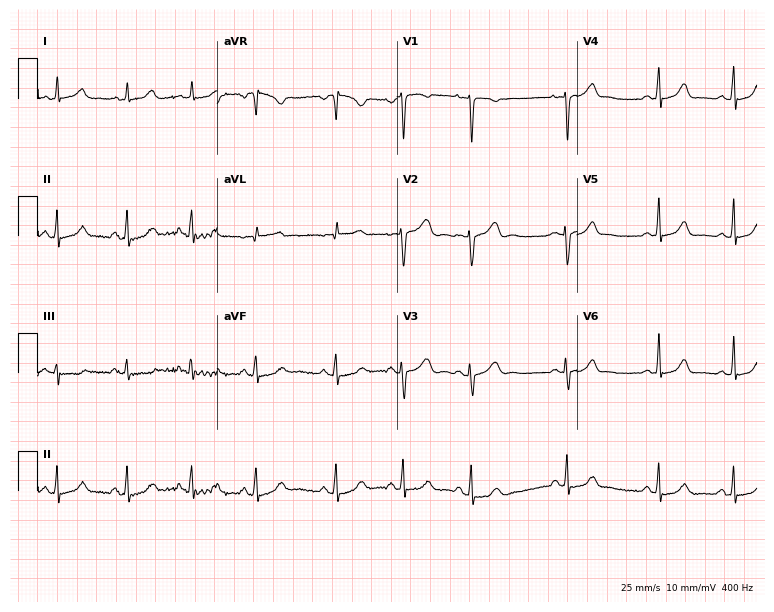
Standard 12-lead ECG recorded from a woman, 17 years old. Read as a normal ECG.